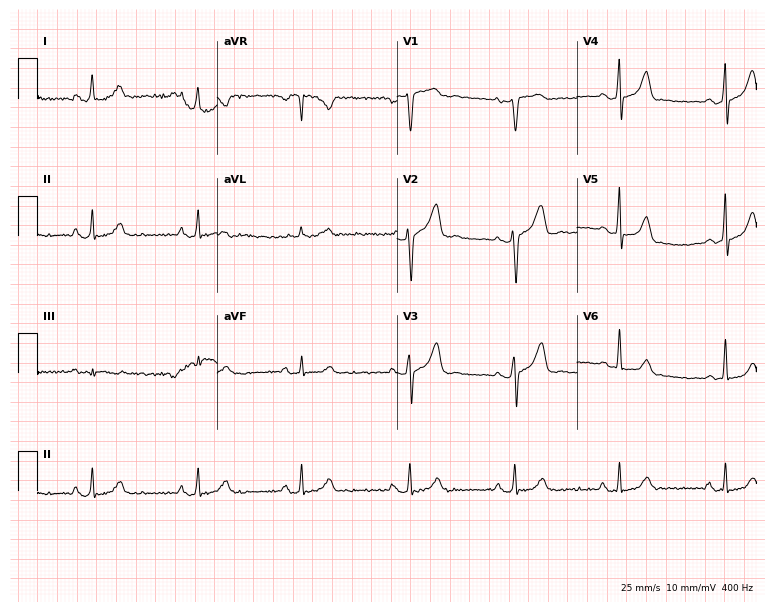
12-lead ECG from a 63-year-old male (7.3-second recording at 400 Hz). No first-degree AV block, right bundle branch block, left bundle branch block, sinus bradycardia, atrial fibrillation or sinus tachycardia recorded for this tracing.